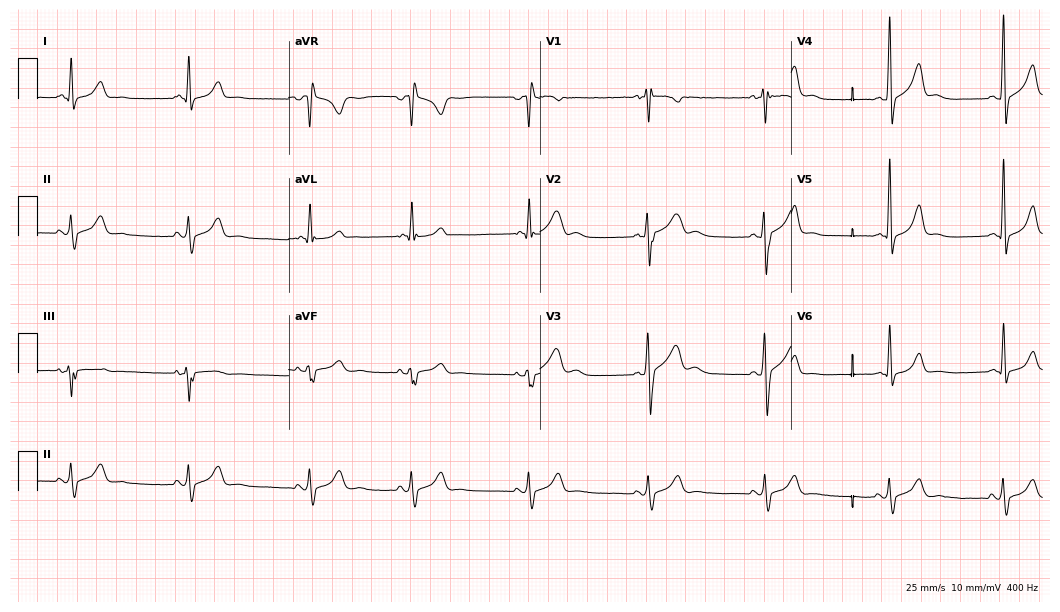
Standard 12-lead ECG recorded from a 17-year-old man (10.2-second recording at 400 Hz). The tracing shows sinus bradycardia (a sinus rate of 50 beats per minute or less).